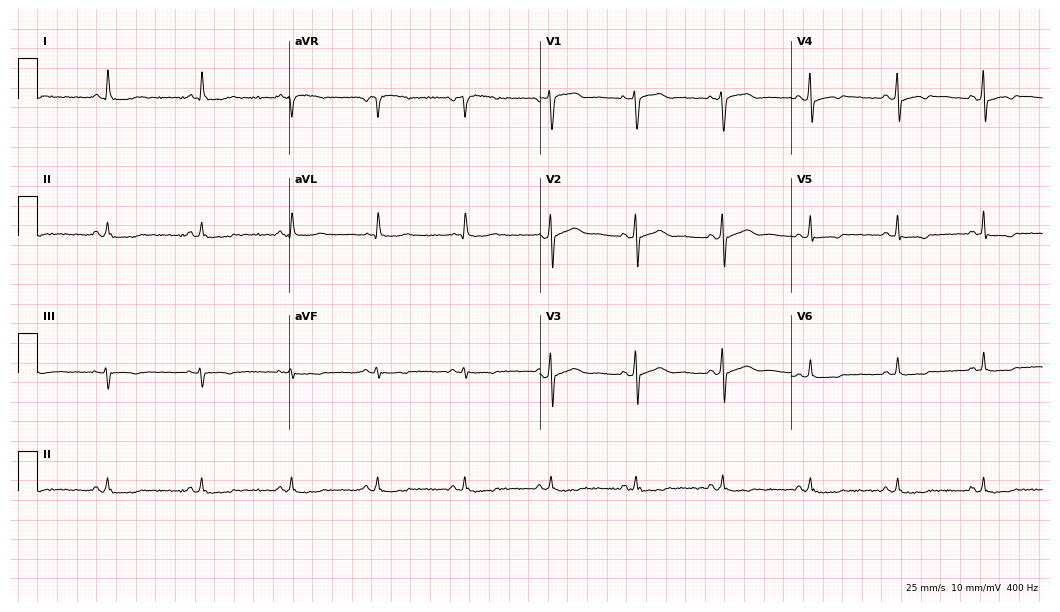
Standard 12-lead ECG recorded from a 55-year-old male (10.2-second recording at 400 Hz). None of these six findings is recorded: first-degree AV block, right bundle branch block, left bundle branch block, sinus bradycardia, atrial fibrillation, sinus tachycardia.